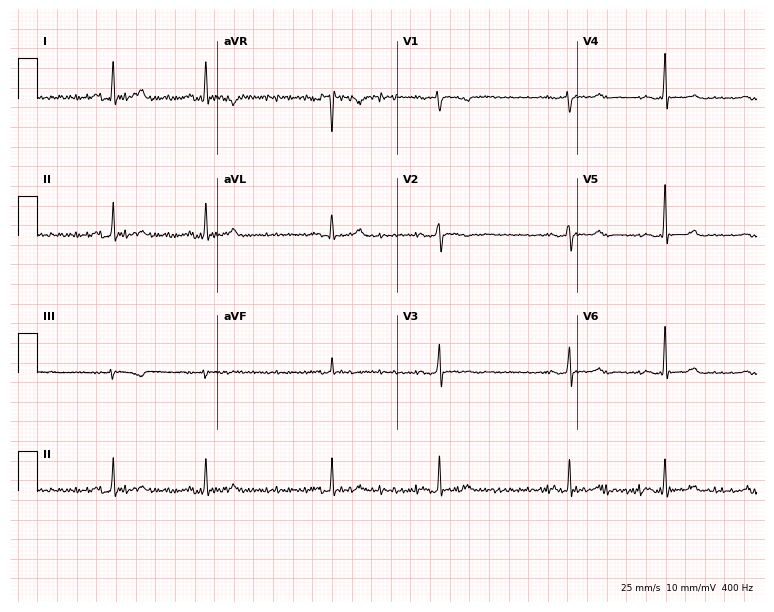
Standard 12-lead ECG recorded from a female patient, 36 years old. None of these six findings is recorded: first-degree AV block, right bundle branch block, left bundle branch block, sinus bradycardia, atrial fibrillation, sinus tachycardia. Only these six findings were labelled.